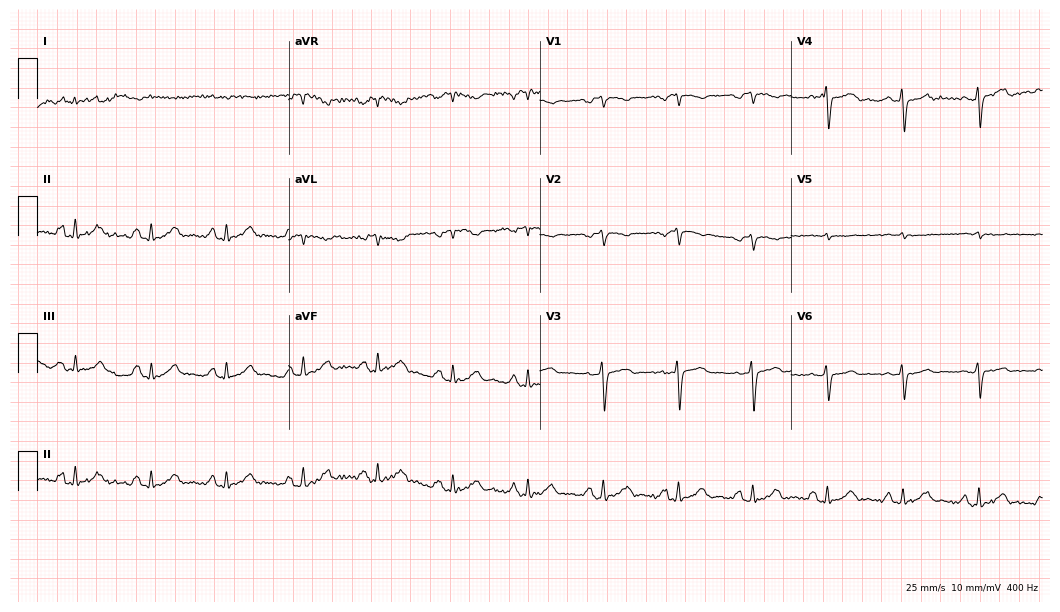
Standard 12-lead ECG recorded from a male, 48 years old (10.2-second recording at 400 Hz). None of these six findings is recorded: first-degree AV block, right bundle branch block (RBBB), left bundle branch block (LBBB), sinus bradycardia, atrial fibrillation (AF), sinus tachycardia.